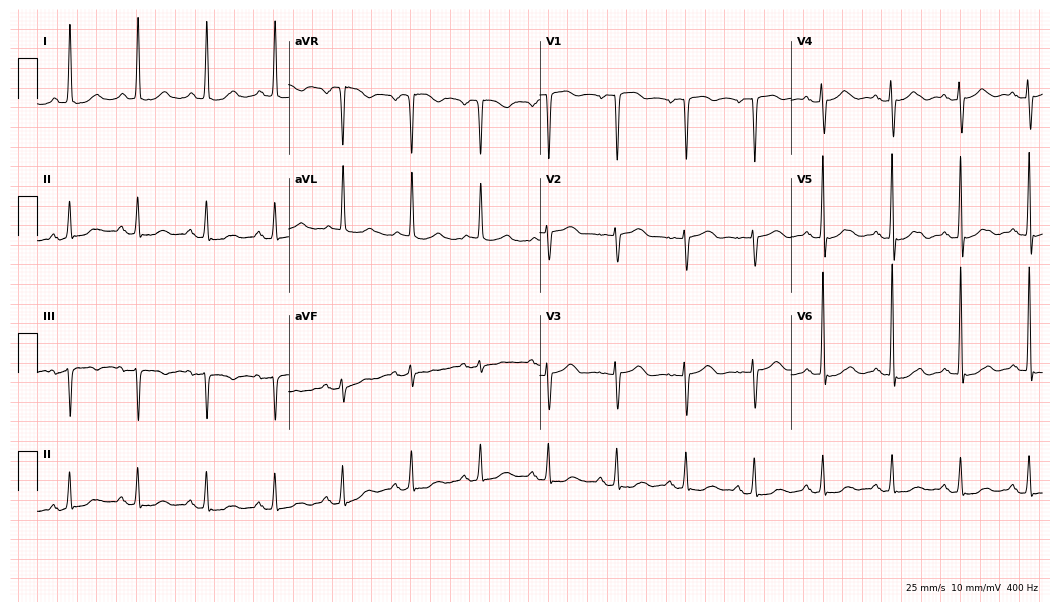
12-lead ECG from an 84-year-old woman. Screened for six findings — first-degree AV block, right bundle branch block, left bundle branch block, sinus bradycardia, atrial fibrillation, sinus tachycardia — none is recorded.